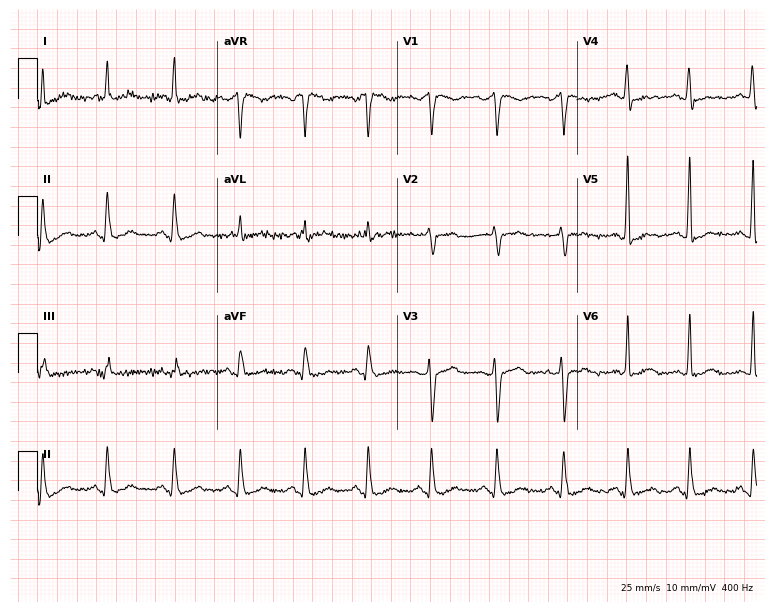
12-lead ECG from a female, 51 years old. Screened for six findings — first-degree AV block, right bundle branch block, left bundle branch block, sinus bradycardia, atrial fibrillation, sinus tachycardia — none is recorded. Findings outside these six are not listed.